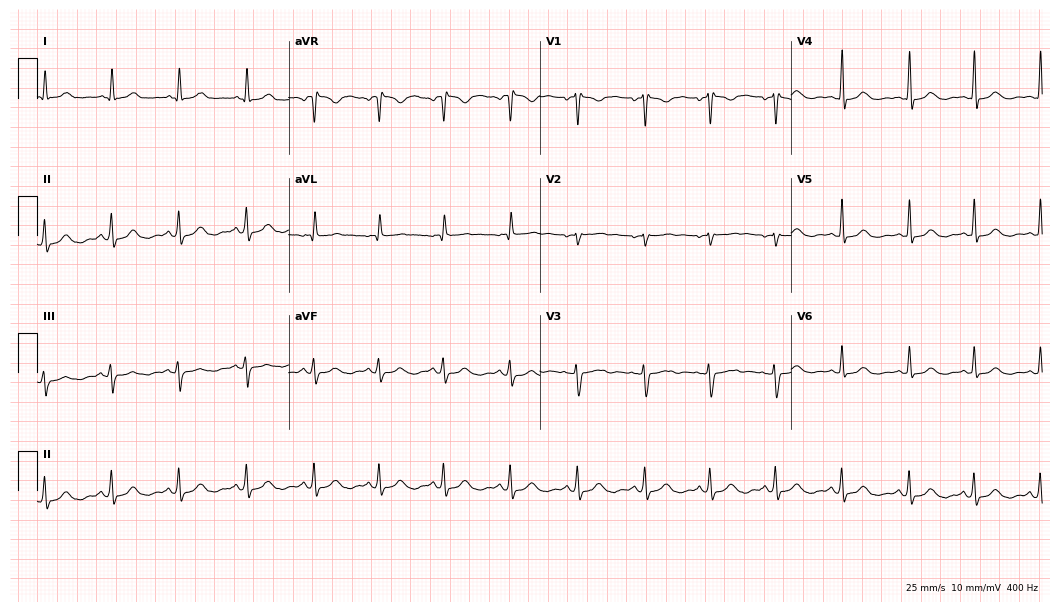
12-lead ECG from a female, 43 years old (10.2-second recording at 400 Hz). No first-degree AV block, right bundle branch block (RBBB), left bundle branch block (LBBB), sinus bradycardia, atrial fibrillation (AF) or sinus tachycardia recorded for this tracing. Other findings, if any, are not listed.